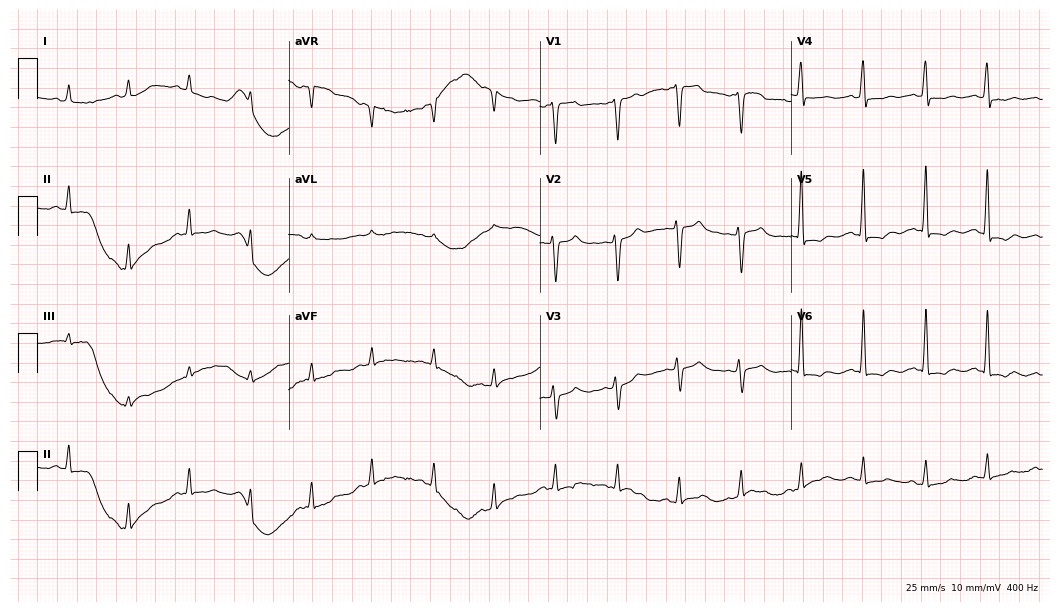
Standard 12-lead ECG recorded from a 66-year-old female (10.2-second recording at 400 Hz). None of these six findings is recorded: first-degree AV block, right bundle branch block (RBBB), left bundle branch block (LBBB), sinus bradycardia, atrial fibrillation (AF), sinus tachycardia. Other findings, if any, are not listed.